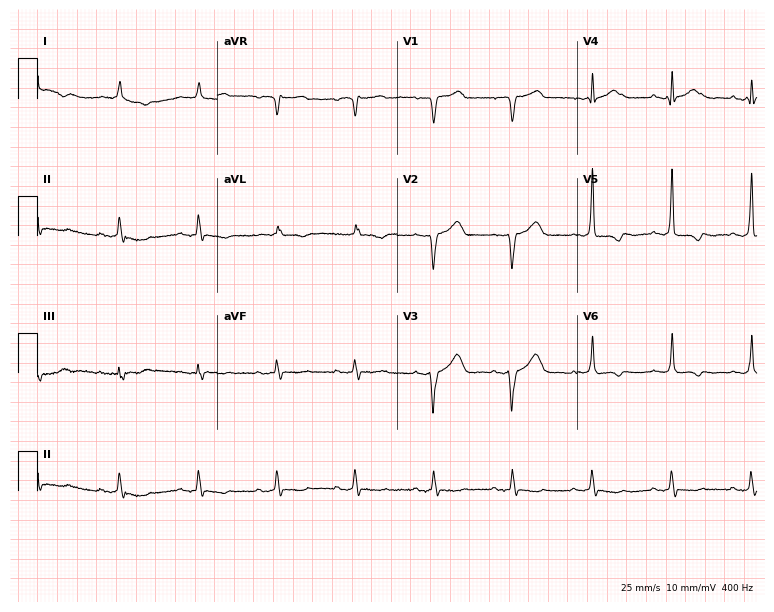
Electrocardiogram, a male, 79 years old. Of the six screened findings (first-degree AV block, right bundle branch block, left bundle branch block, sinus bradycardia, atrial fibrillation, sinus tachycardia), none is recorded.